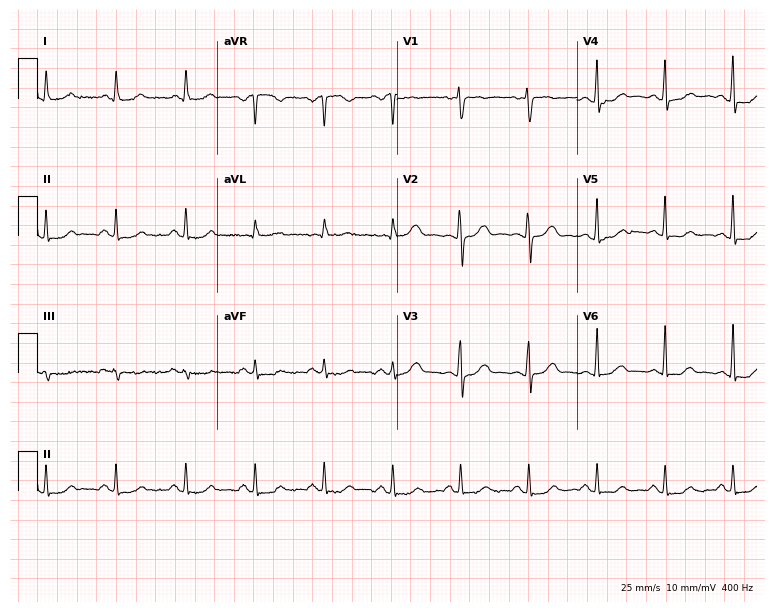
ECG (7.3-second recording at 400 Hz) — a female patient, 61 years old. Labelled as a normal ECG.